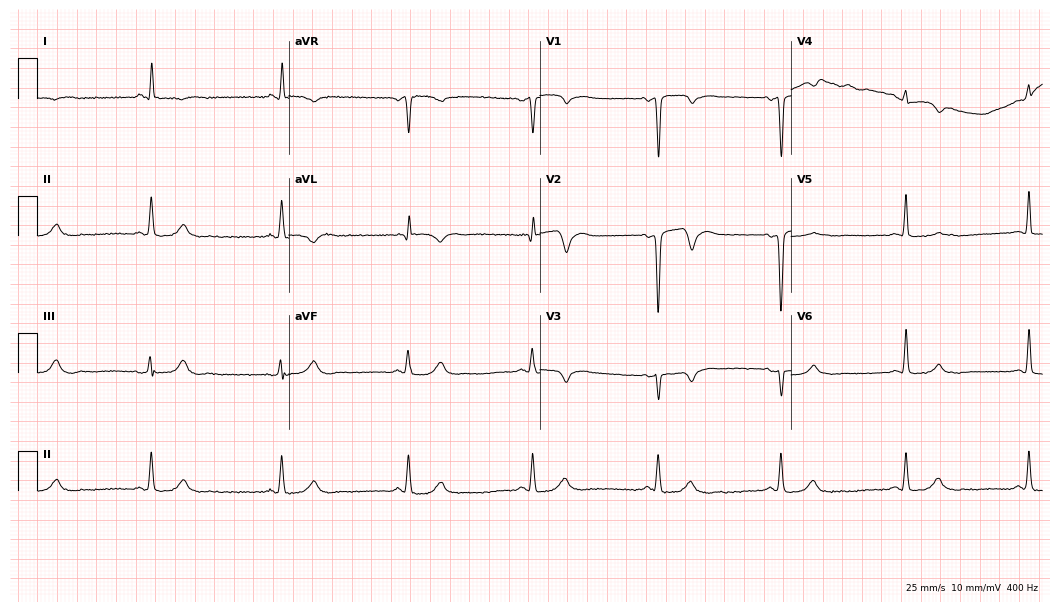
Electrocardiogram (10.2-second recording at 400 Hz), a male patient, 62 years old. Of the six screened findings (first-degree AV block, right bundle branch block, left bundle branch block, sinus bradycardia, atrial fibrillation, sinus tachycardia), none is recorded. Only these six findings were labelled.